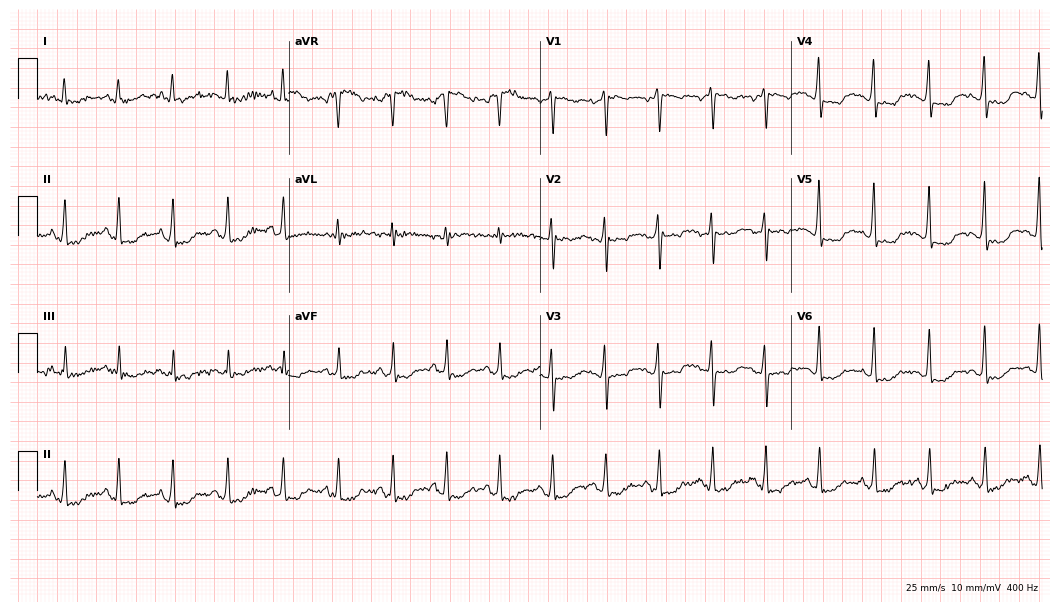
12-lead ECG (10.2-second recording at 400 Hz) from a female, 47 years old. Findings include sinus tachycardia (a sinus rate of 100 beats per minute or more).